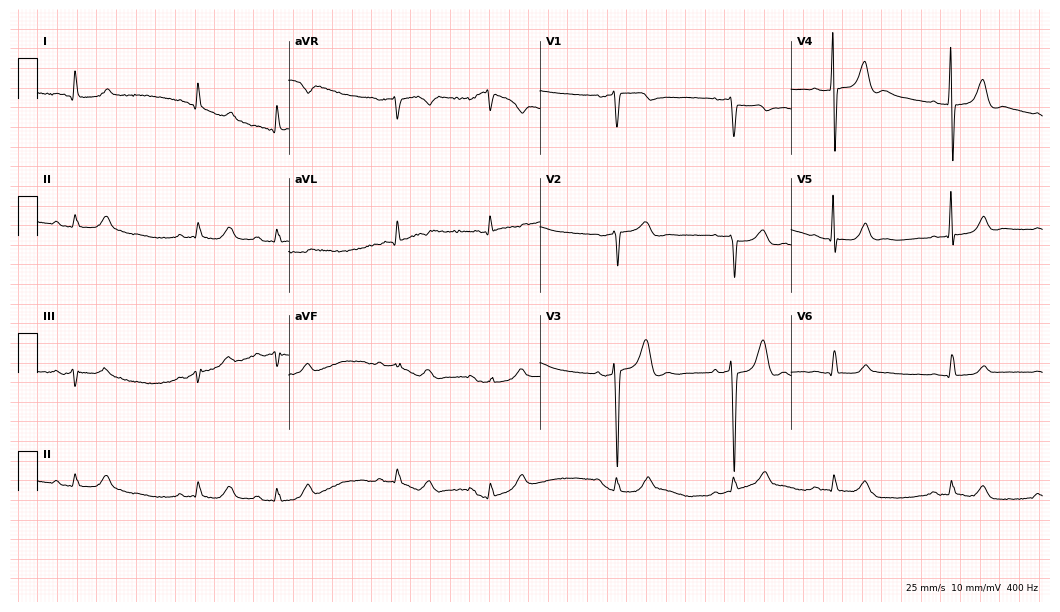
Electrocardiogram, a 78-year-old woman. Of the six screened findings (first-degree AV block, right bundle branch block, left bundle branch block, sinus bradycardia, atrial fibrillation, sinus tachycardia), none is recorded. Only these six findings were labelled.